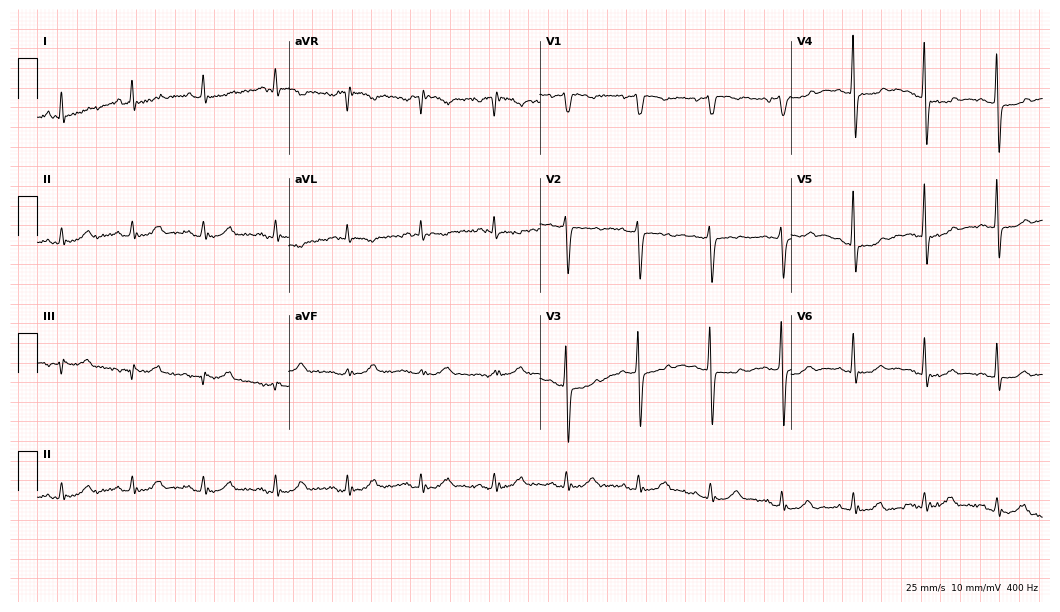
12-lead ECG from a 69-year-old woman (10.2-second recording at 400 Hz). No first-degree AV block, right bundle branch block (RBBB), left bundle branch block (LBBB), sinus bradycardia, atrial fibrillation (AF) or sinus tachycardia recorded for this tracing.